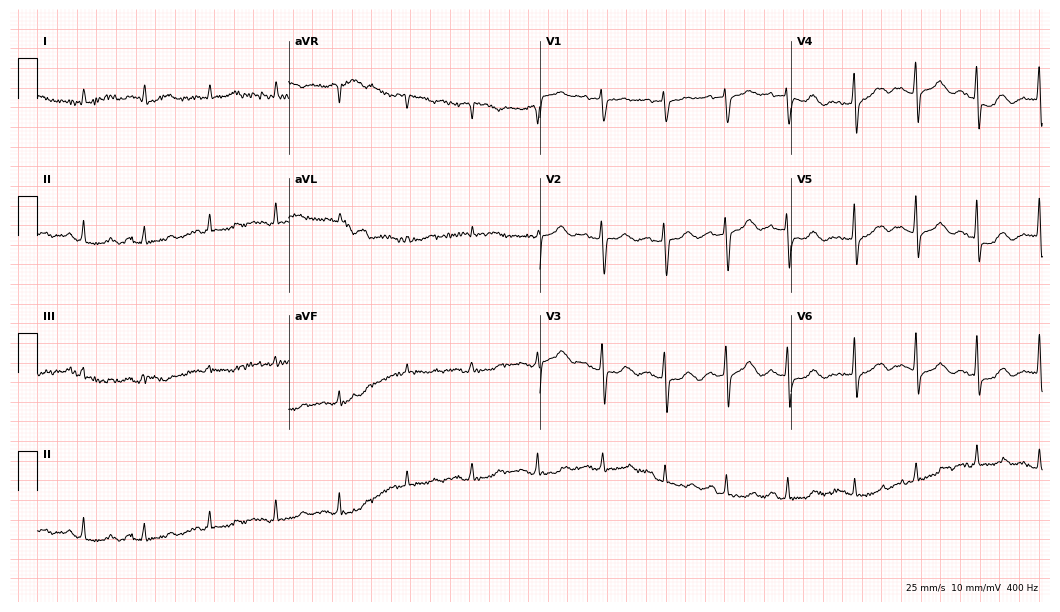
Standard 12-lead ECG recorded from a female, 83 years old (10.2-second recording at 400 Hz). None of these six findings is recorded: first-degree AV block, right bundle branch block, left bundle branch block, sinus bradycardia, atrial fibrillation, sinus tachycardia. Only these six findings were labelled.